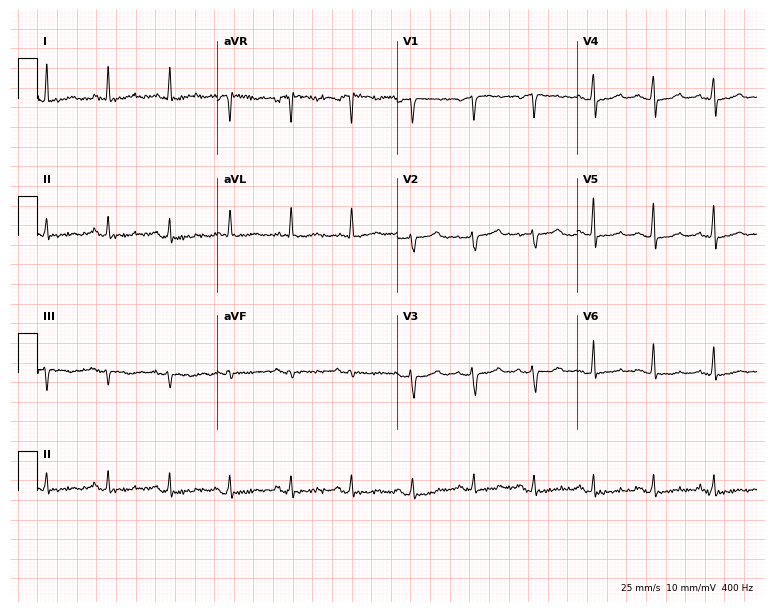
Resting 12-lead electrocardiogram. Patient: a woman, 60 years old. None of these six findings is recorded: first-degree AV block, right bundle branch block, left bundle branch block, sinus bradycardia, atrial fibrillation, sinus tachycardia.